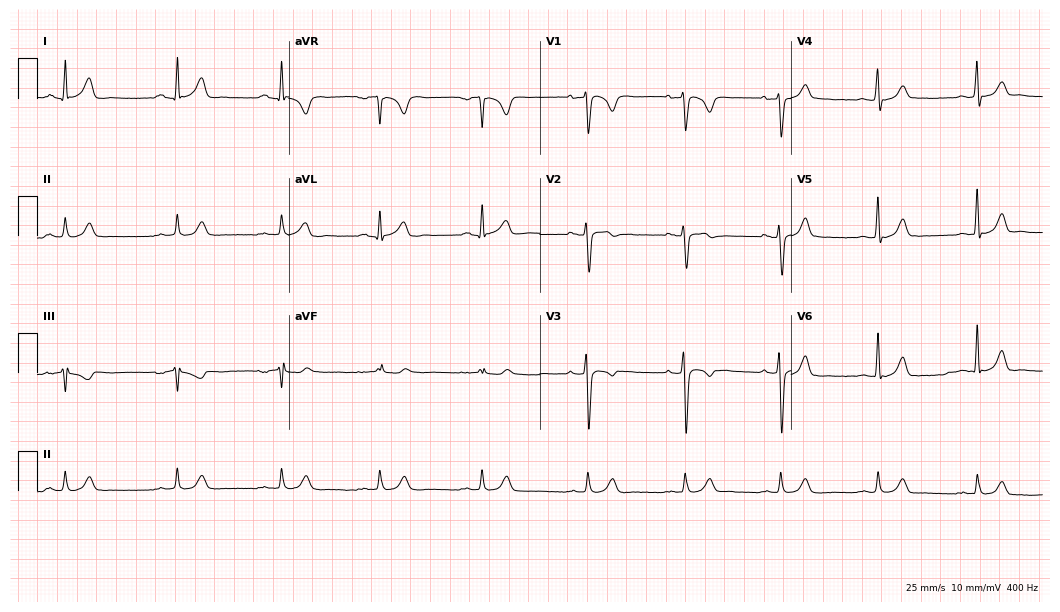
Resting 12-lead electrocardiogram (10.2-second recording at 400 Hz). Patient: a man, 24 years old. None of these six findings is recorded: first-degree AV block, right bundle branch block, left bundle branch block, sinus bradycardia, atrial fibrillation, sinus tachycardia. Other findings, if any, are not listed.